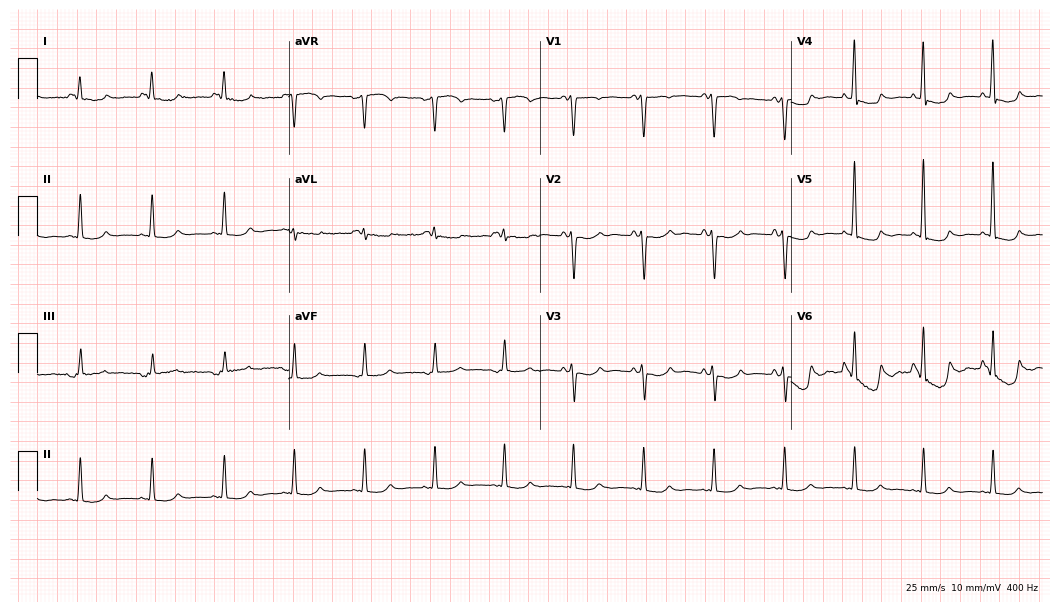
Electrocardiogram (10.2-second recording at 400 Hz), a 43-year-old female. Of the six screened findings (first-degree AV block, right bundle branch block, left bundle branch block, sinus bradycardia, atrial fibrillation, sinus tachycardia), none is recorded. Other findings, if any, are not listed.